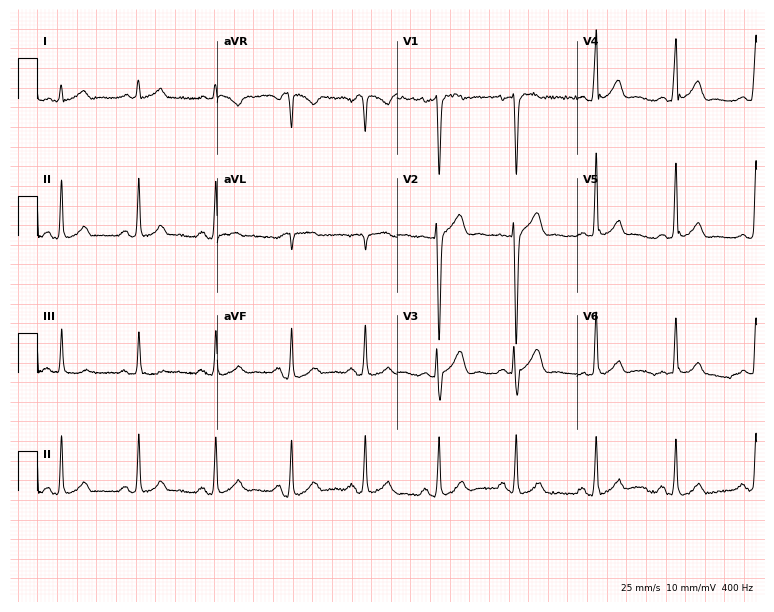
Standard 12-lead ECG recorded from a 47-year-old male patient. Read as a normal ECG.